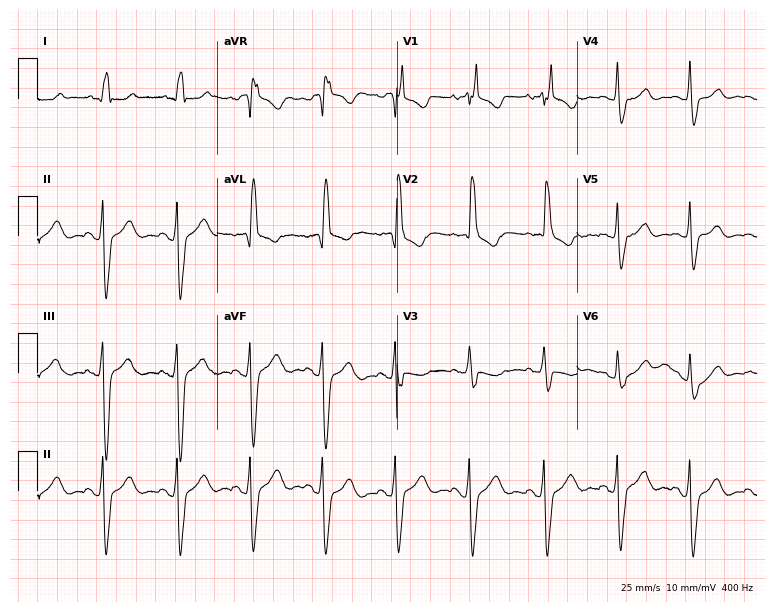
Resting 12-lead electrocardiogram. Patient: a female, 81 years old. The tracing shows right bundle branch block.